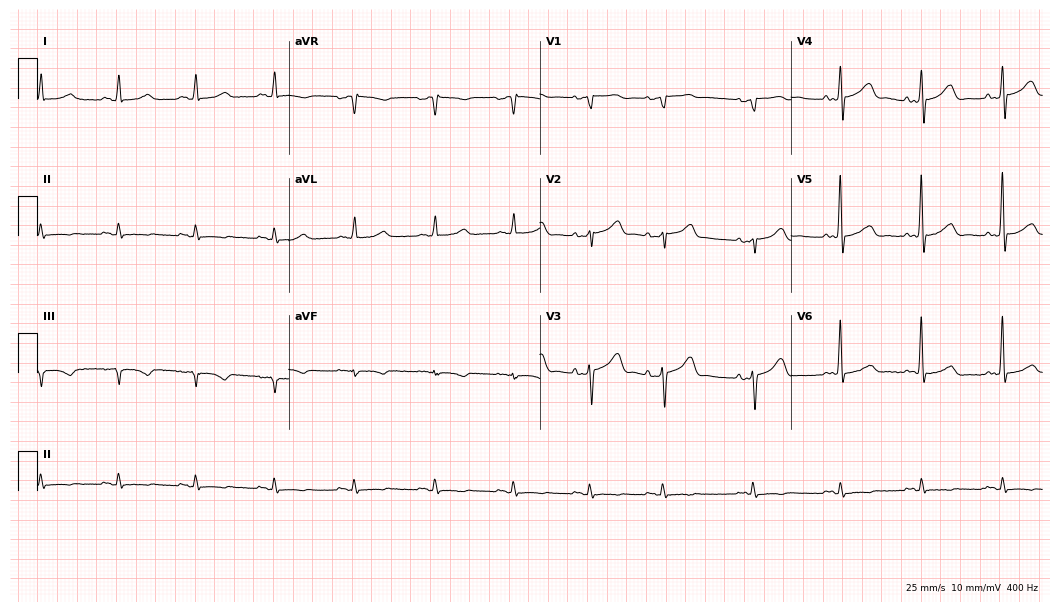
Resting 12-lead electrocardiogram (10.2-second recording at 400 Hz). Patient: an 80-year-old man. None of these six findings is recorded: first-degree AV block, right bundle branch block (RBBB), left bundle branch block (LBBB), sinus bradycardia, atrial fibrillation (AF), sinus tachycardia.